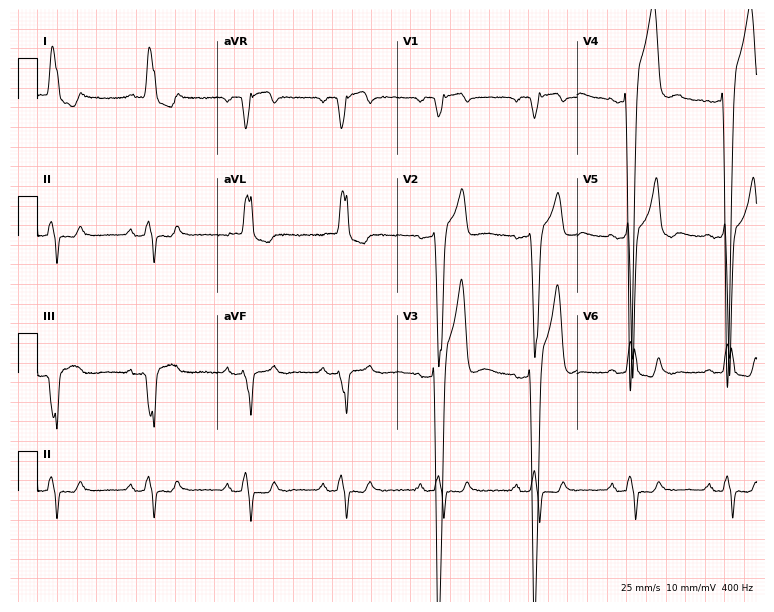
Standard 12-lead ECG recorded from a 78-year-old female (7.3-second recording at 400 Hz). The tracing shows left bundle branch block.